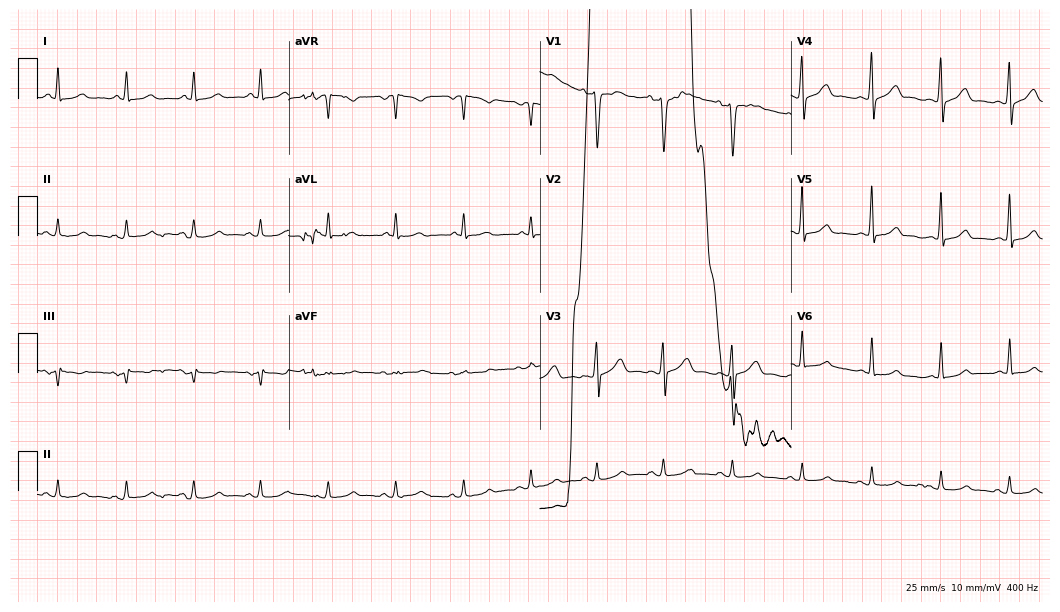
12-lead ECG from a male, 37 years old (10.2-second recording at 400 Hz). No first-degree AV block, right bundle branch block, left bundle branch block, sinus bradycardia, atrial fibrillation or sinus tachycardia recorded for this tracing. Only these six findings were labelled.